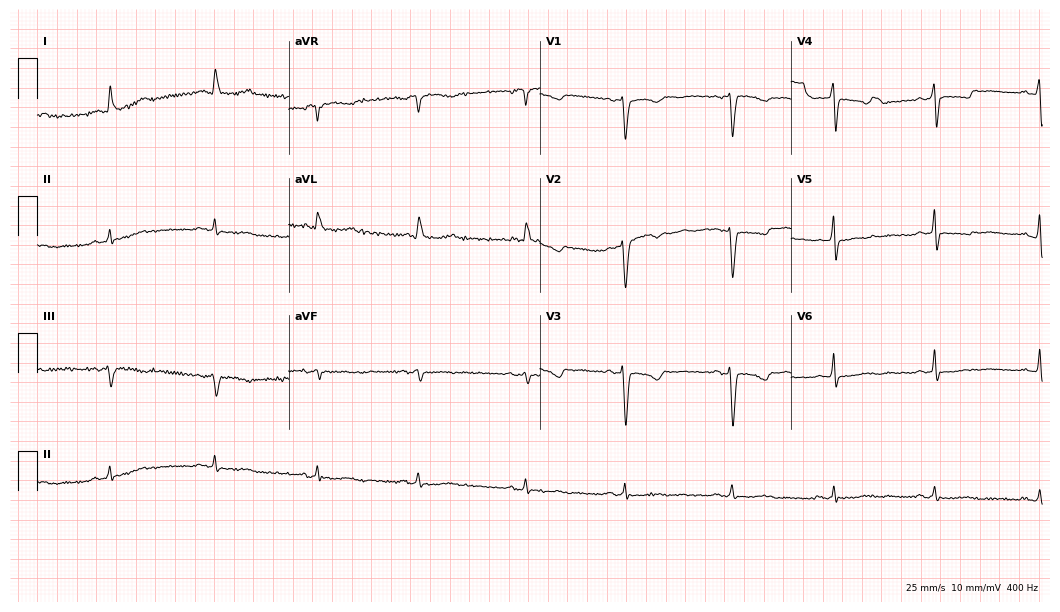
Standard 12-lead ECG recorded from a woman, 50 years old. None of these six findings is recorded: first-degree AV block, right bundle branch block (RBBB), left bundle branch block (LBBB), sinus bradycardia, atrial fibrillation (AF), sinus tachycardia. Only these six findings were labelled.